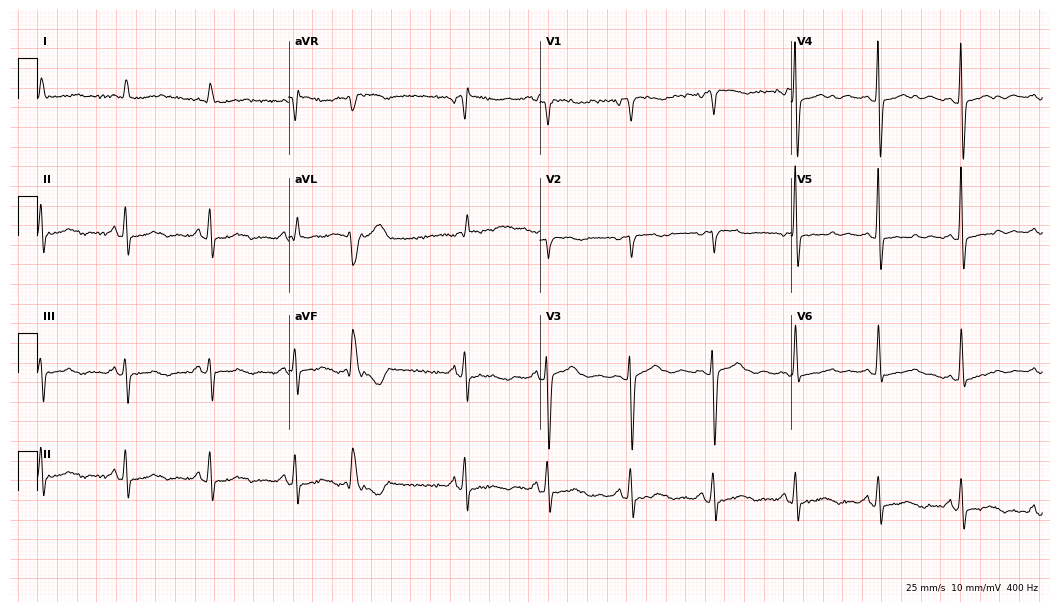
ECG (10.2-second recording at 400 Hz) — a 79-year-old woman. Screened for six findings — first-degree AV block, right bundle branch block, left bundle branch block, sinus bradycardia, atrial fibrillation, sinus tachycardia — none is recorded.